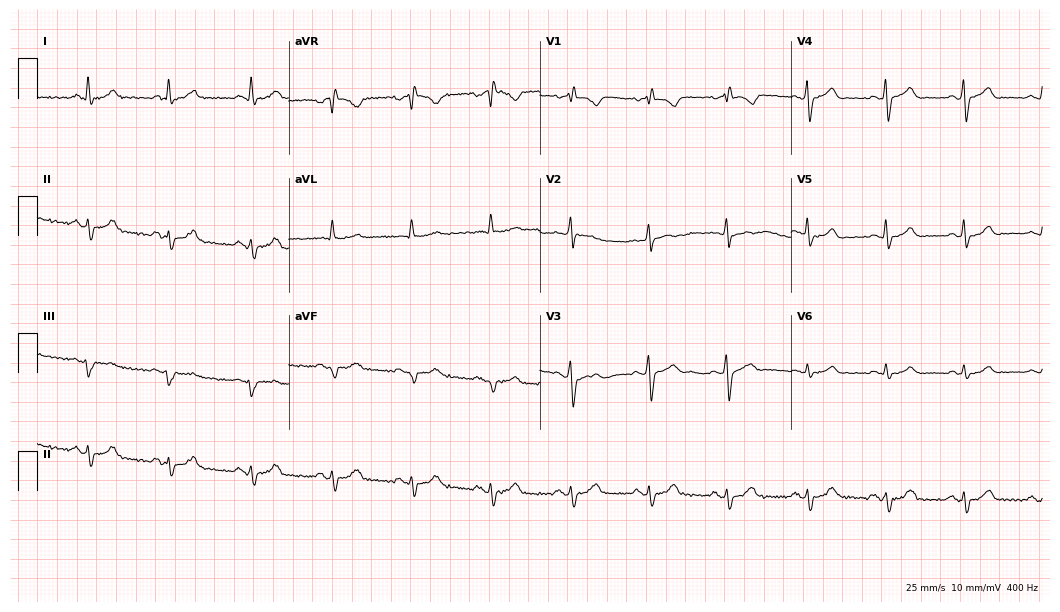
Standard 12-lead ECG recorded from a female patient, 54 years old (10.2-second recording at 400 Hz). None of these six findings is recorded: first-degree AV block, right bundle branch block, left bundle branch block, sinus bradycardia, atrial fibrillation, sinus tachycardia. Only these six findings were labelled.